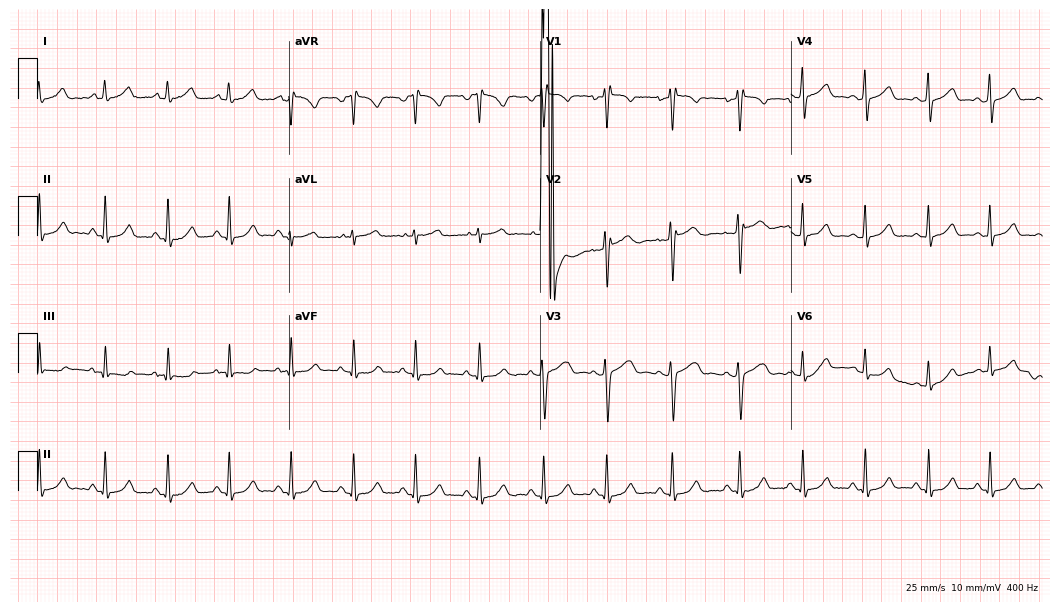
Electrocardiogram, a 25-year-old female. Overall reading on record: normal ECG.